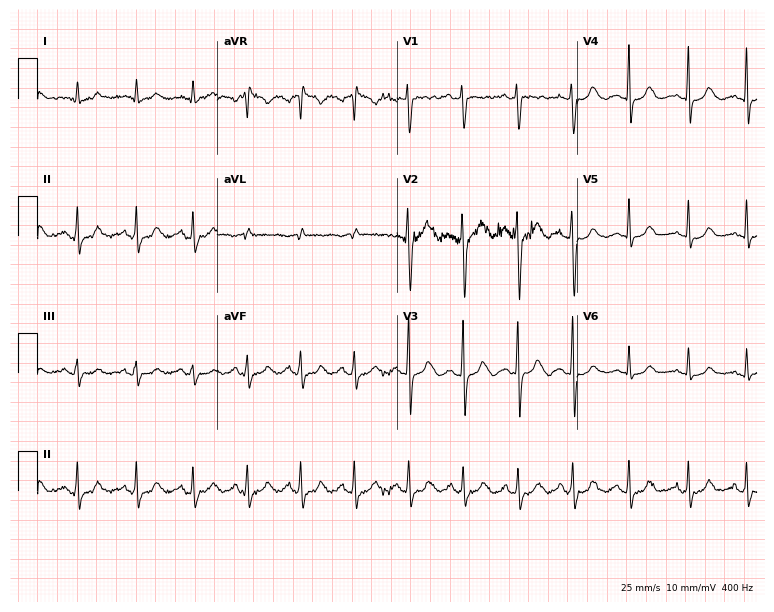
12-lead ECG from a 36-year-old woman. Findings include sinus tachycardia (a sinus rate of 100 beats per minute or more).